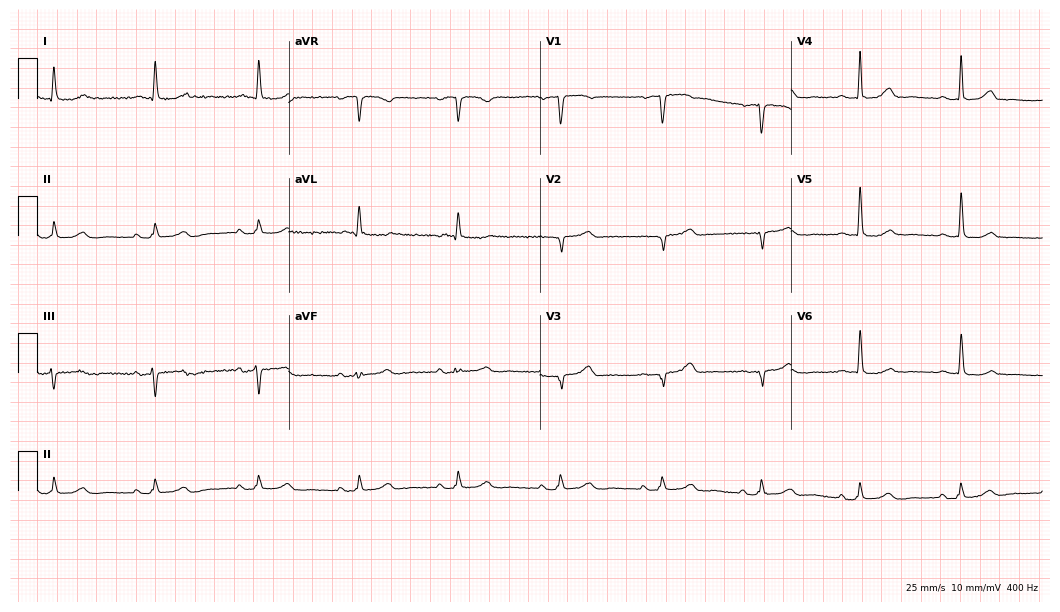
12-lead ECG (10.2-second recording at 400 Hz) from an 81-year-old female. Screened for six findings — first-degree AV block, right bundle branch block (RBBB), left bundle branch block (LBBB), sinus bradycardia, atrial fibrillation (AF), sinus tachycardia — none is recorded. Other findings, if any, are not listed.